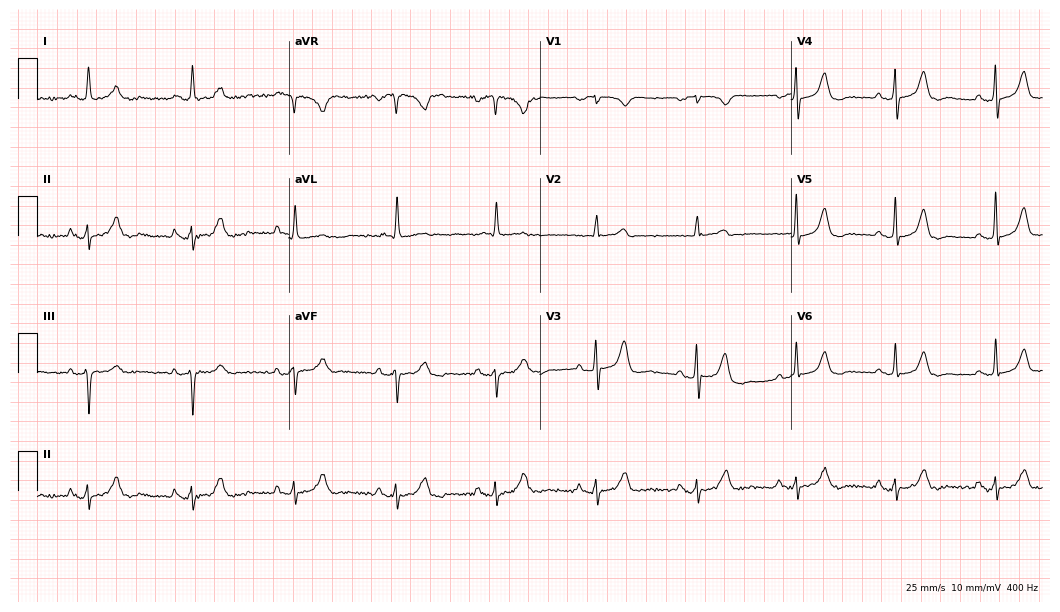
ECG — an 81-year-old female patient. Screened for six findings — first-degree AV block, right bundle branch block, left bundle branch block, sinus bradycardia, atrial fibrillation, sinus tachycardia — none is recorded.